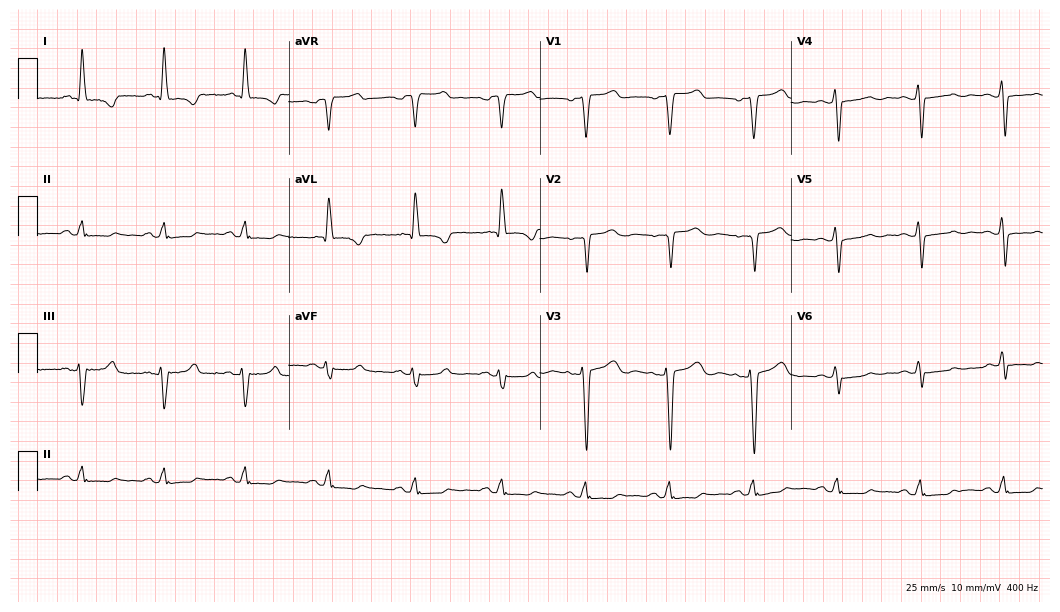
12-lead ECG (10.2-second recording at 400 Hz) from a female, 47 years old. Screened for six findings — first-degree AV block, right bundle branch block (RBBB), left bundle branch block (LBBB), sinus bradycardia, atrial fibrillation (AF), sinus tachycardia — none is recorded. Only these six findings were labelled.